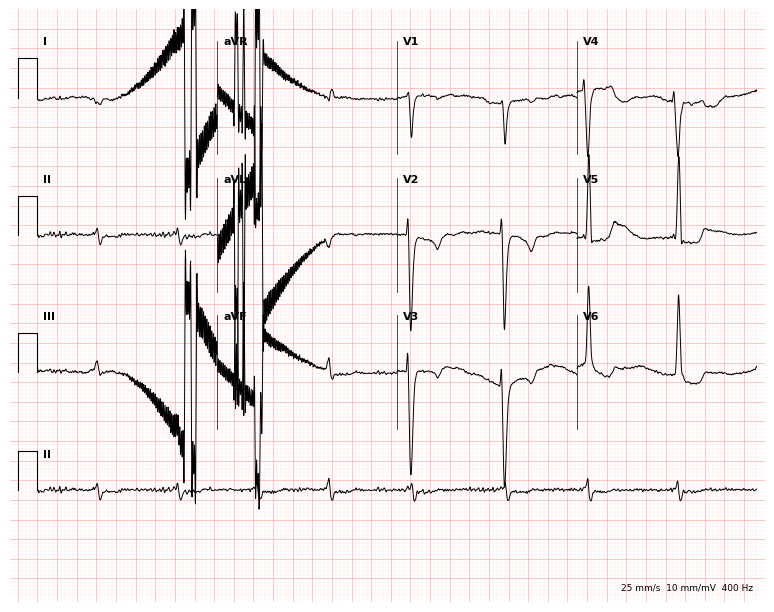
12-lead ECG (7.3-second recording at 400 Hz) from a woman, 63 years old. Screened for six findings — first-degree AV block, right bundle branch block, left bundle branch block, sinus bradycardia, atrial fibrillation, sinus tachycardia — none is recorded.